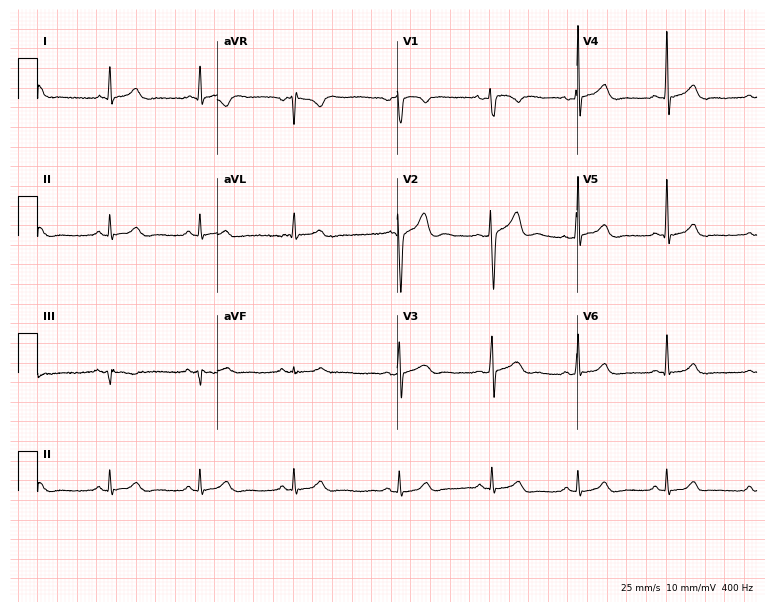
Electrocardiogram (7.3-second recording at 400 Hz), a 20-year-old man. Of the six screened findings (first-degree AV block, right bundle branch block, left bundle branch block, sinus bradycardia, atrial fibrillation, sinus tachycardia), none is recorded.